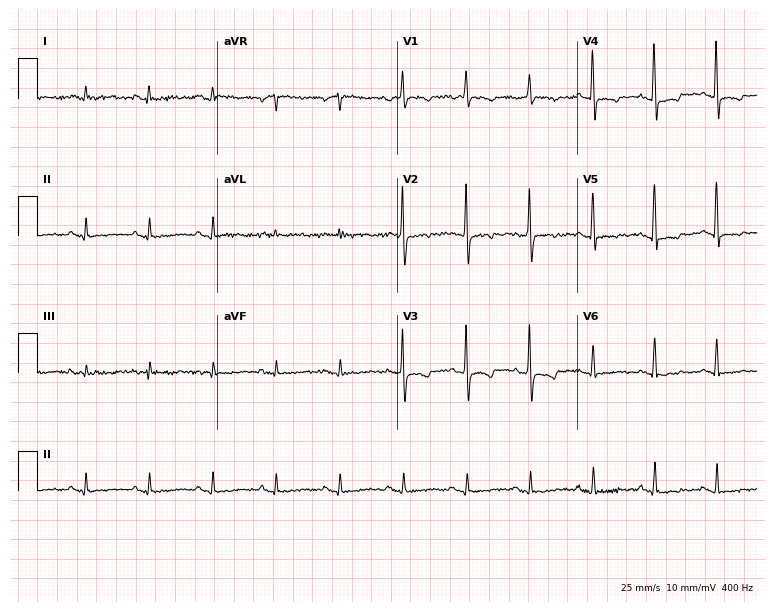
Electrocardiogram (7.3-second recording at 400 Hz), a woman, 74 years old. Of the six screened findings (first-degree AV block, right bundle branch block (RBBB), left bundle branch block (LBBB), sinus bradycardia, atrial fibrillation (AF), sinus tachycardia), none is recorded. Other findings, if any, are not listed.